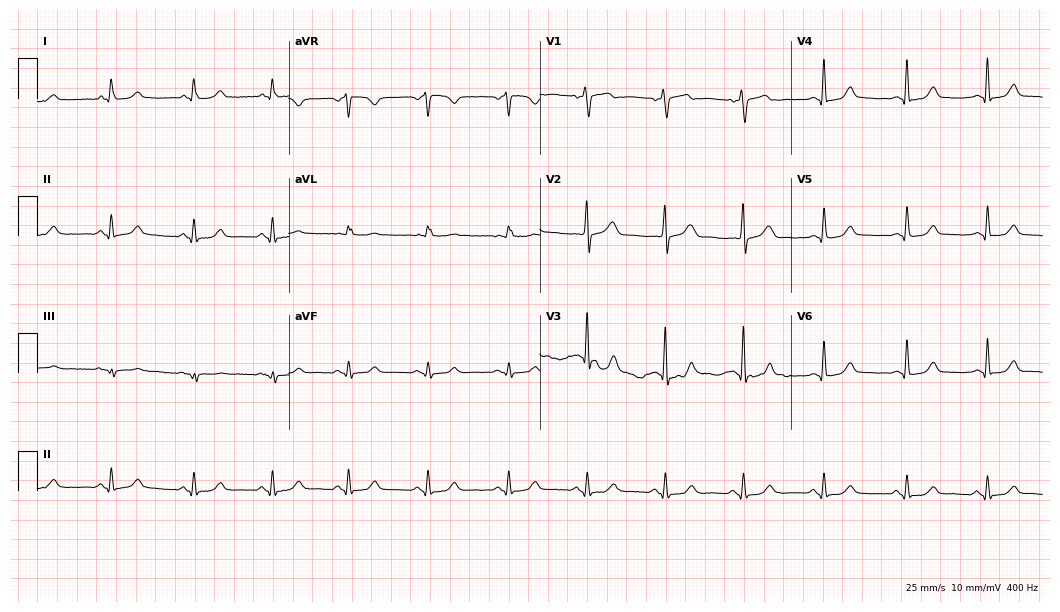
12-lead ECG from a female, 55 years old (10.2-second recording at 400 Hz). Recorded interpretation: within normal limits.